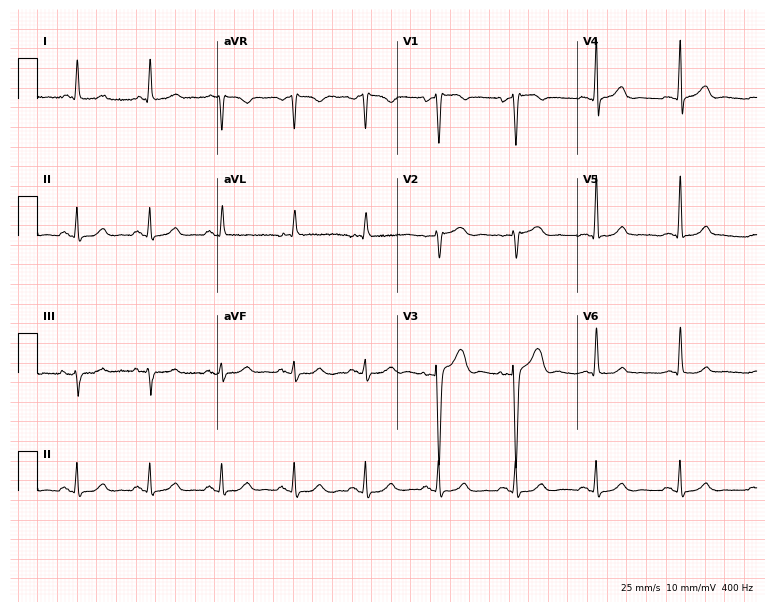
ECG (7.3-second recording at 400 Hz) — a 67-year-old woman. Screened for six findings — first-degree AV block, right bundle branch block (RBBB), left bundle branch block (LBBB), sinus bradycardia, atrial fibrillation (AF), sinus tachycardia — none is recorded. Only these six findings were labelled.